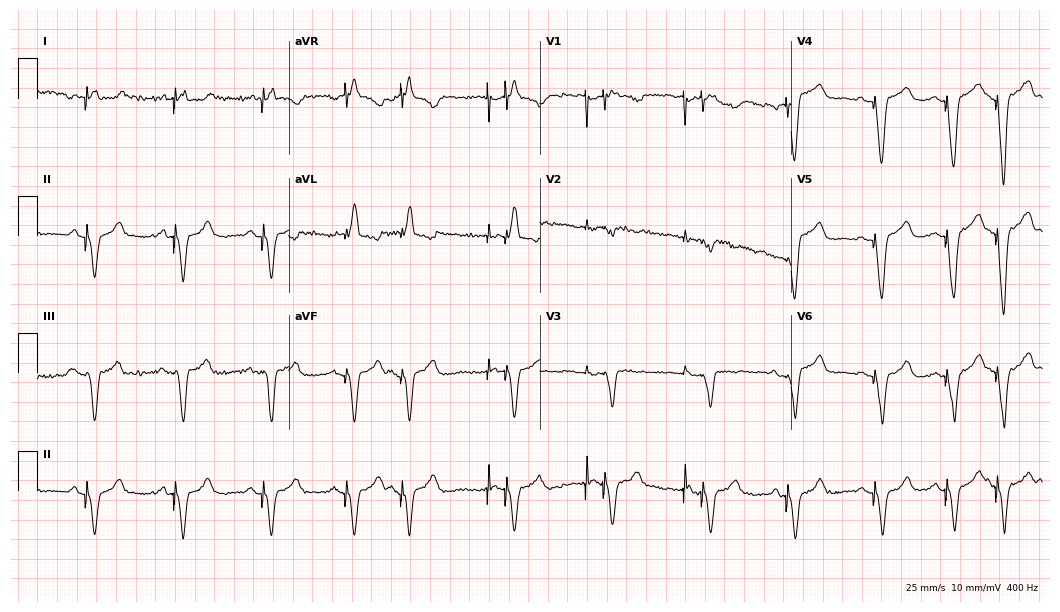
ECG — an 80-year-old female patient. Screened for six findings — first-degree AV block, right bundle branch block (RBBB), left bundle branch block (LBBB), sinus bradycardia, atrial fibrillation (AF), sinus tachycardia — none is recorded.